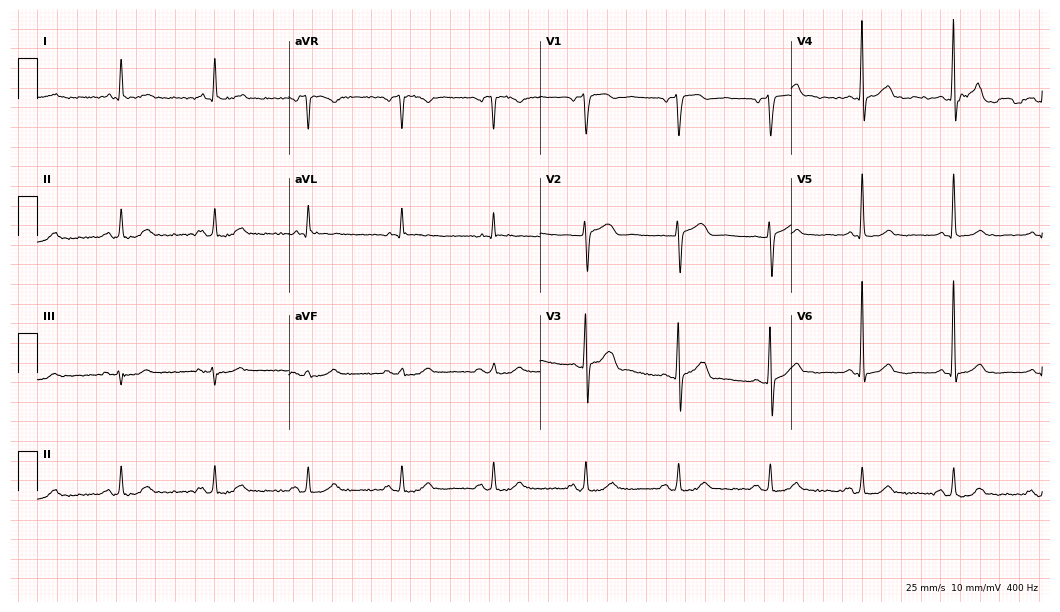
Resting 12-lead electrocardiogram (10.2-second recording at 400 Hz). Patient: a 72-year-old man. Read as a normal ECG.